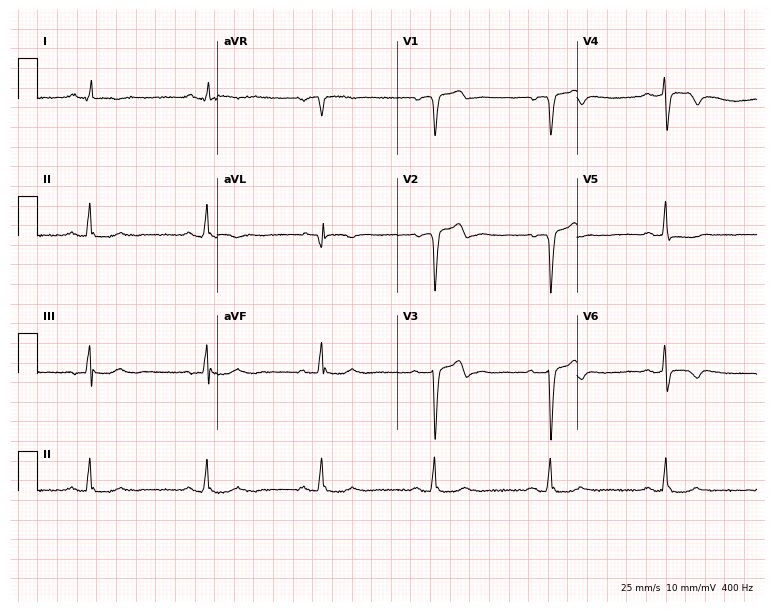
Standard 12-lead ECG recorded from a man, 57 years old (7.3-second recording at 400 Hz). The tracing shows sinus bradycardia (a sinus rate of 50 beats per minute or less).